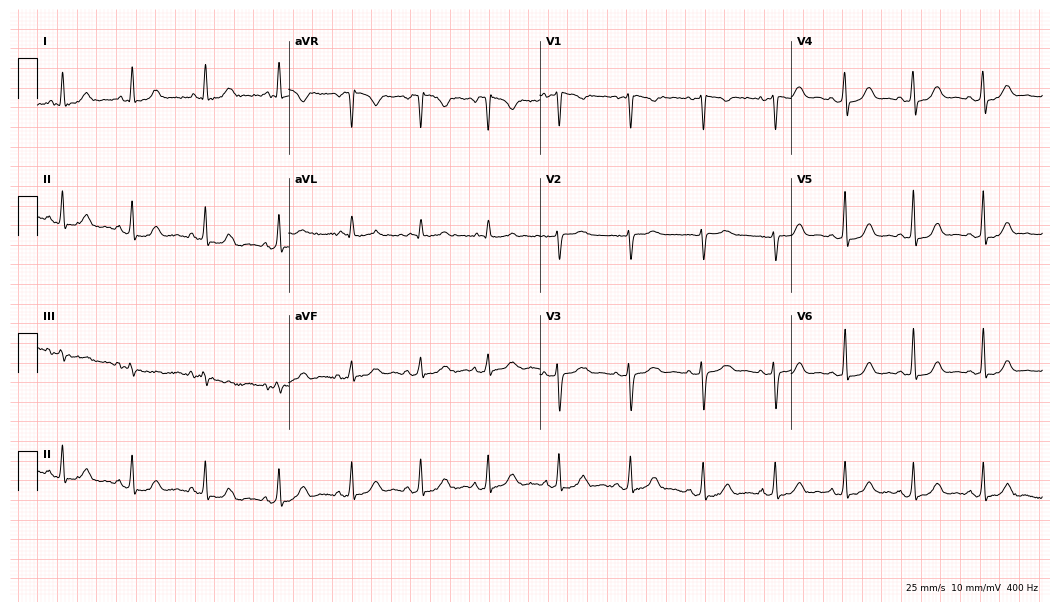
Resting 12-lead electrocardiogram. Patient: a 39-year-old female. Read as a normal ECG.